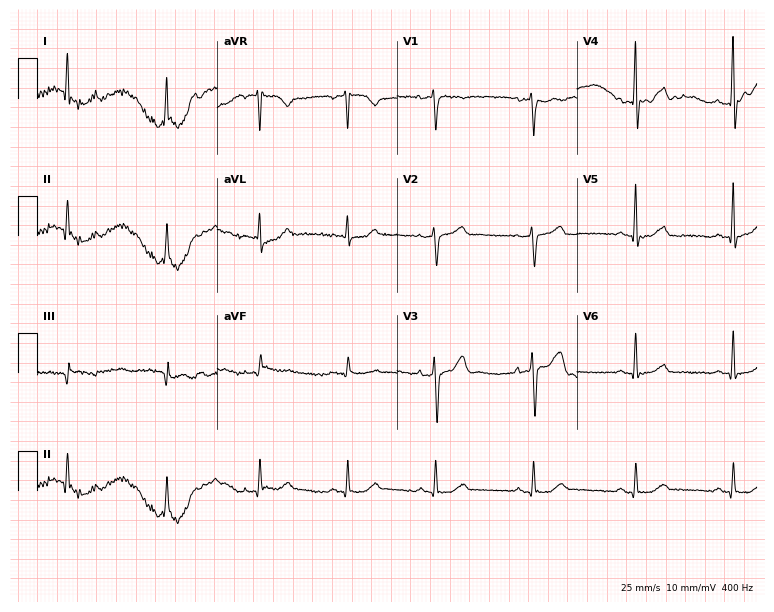
12-lead ECG (7.3-second recording at 400 Hz) from a 48-year-old male. Screened for six findings — first-degree AV block, right bundle branch block (RBBB), left bundle branch block (LBBB), sinus bradycardia, atrial fibrillation (AF), sinus tachycardia — none is recorded. Only these six findings were labelled.